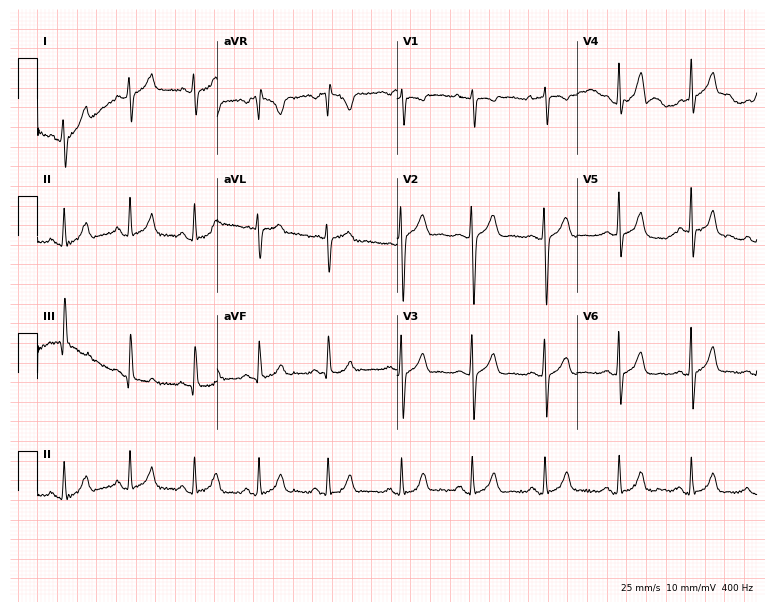
Standard 12-lead ECG recorded from a 17-year-old woman (7.3-second recording at 400 Hz). Read as a normal ECG.